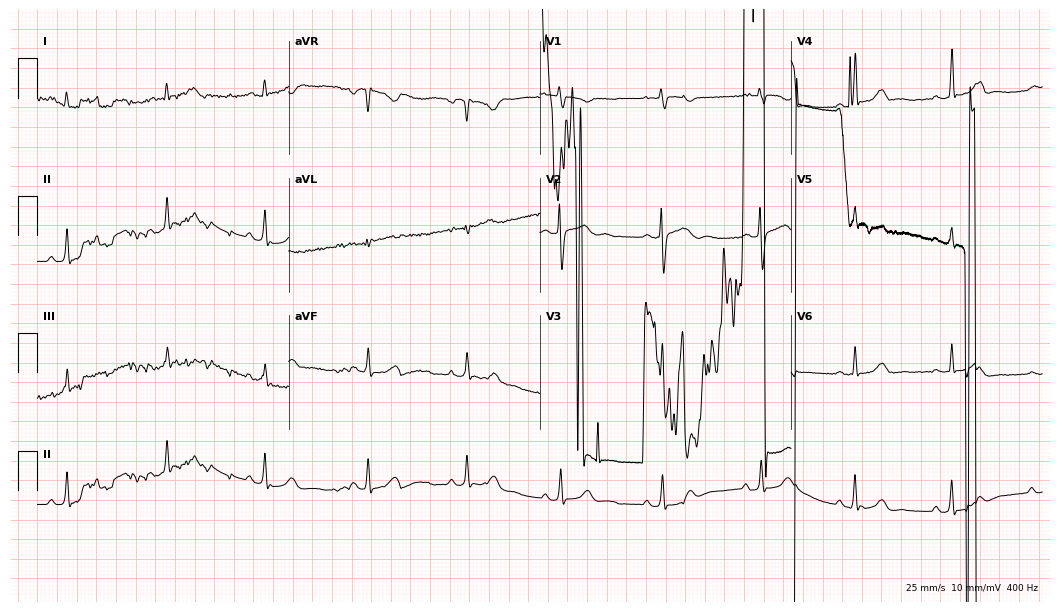
Electrocardiogram (10.2-second recording at 400 Hz), a 17-year-old female patient. Of the six screened findings (first-degree AV block, right bundle branch block (RBBB), left bundle branch block (LBBB), sinus bradycardia, atrial fibrillation (AF), sinus tachycardia), none is recorded. Other findings, if any, are not listed.